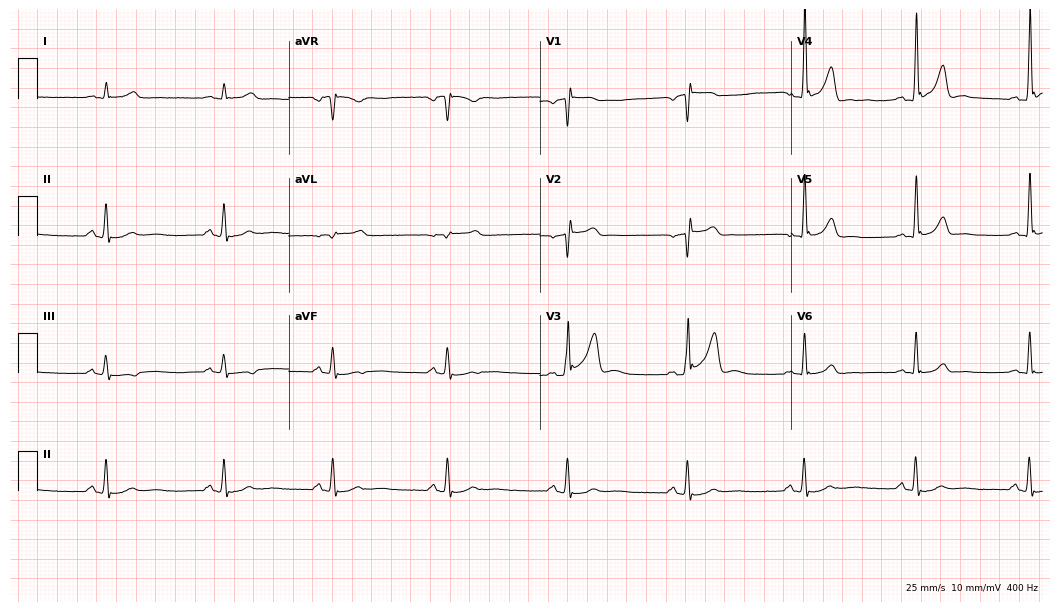
Electrocardiogram, a 43-year-old man. Of the six screened findings (first-degree AV block, right bundle branch block (RBBB), left bundle branch block (LBBB), sinus bradycardia, atrial fibrillation (AF), sinus tachycardia), none is recorded.